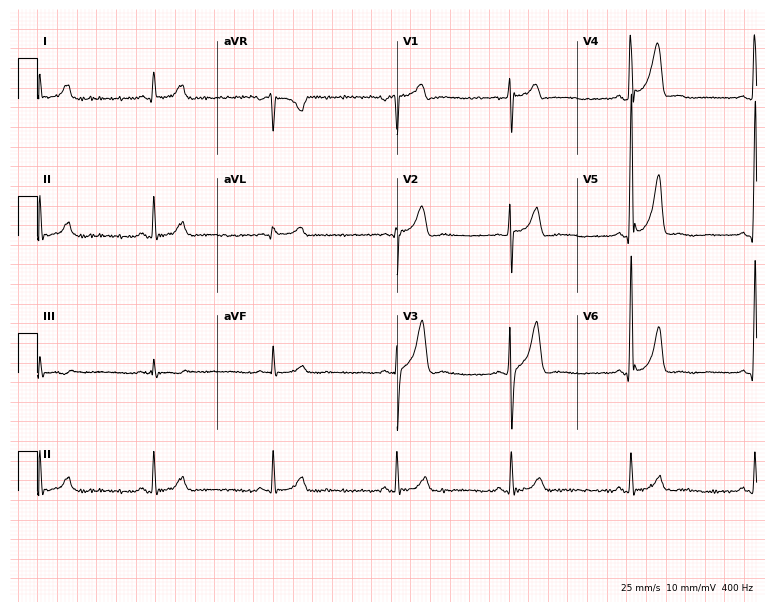
12-lead ECG from a 28-year-old man. No first-degree AV block, right bundle branch block, left bundle branch block, sinus bradycardia, atrial fibrillation or sinus tachycardia recorded for this tracing.